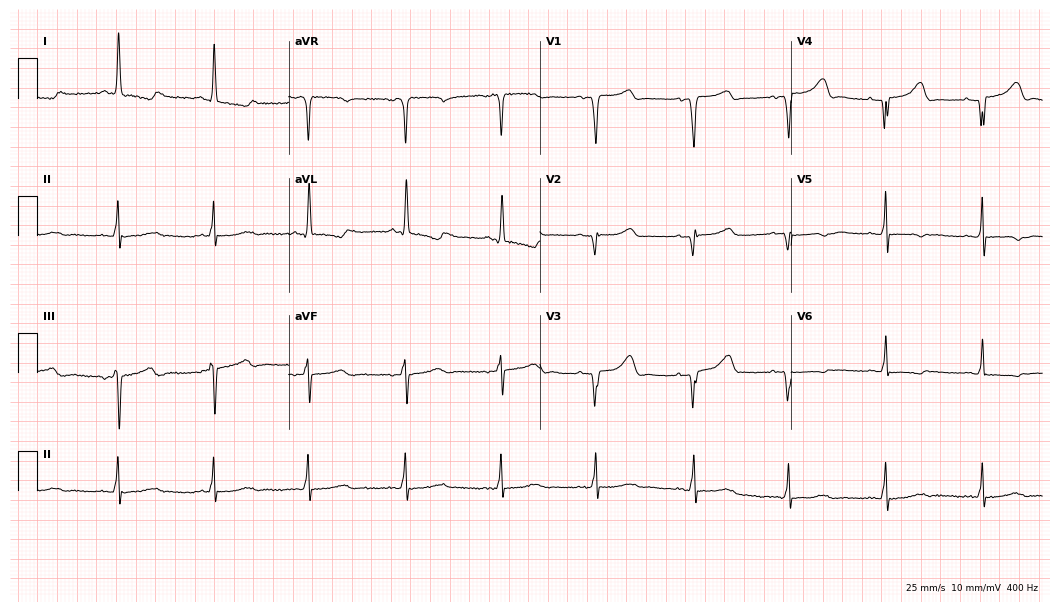
ECG (10.2-second recording at 400 Hz) — a 72-year-old female patient. Screened for six findings — first-degree AV block, right bundle branch block, left bundle branch block, sinus bradycardia, atrial fibrillation, sinus tachycardia — none is recorded.